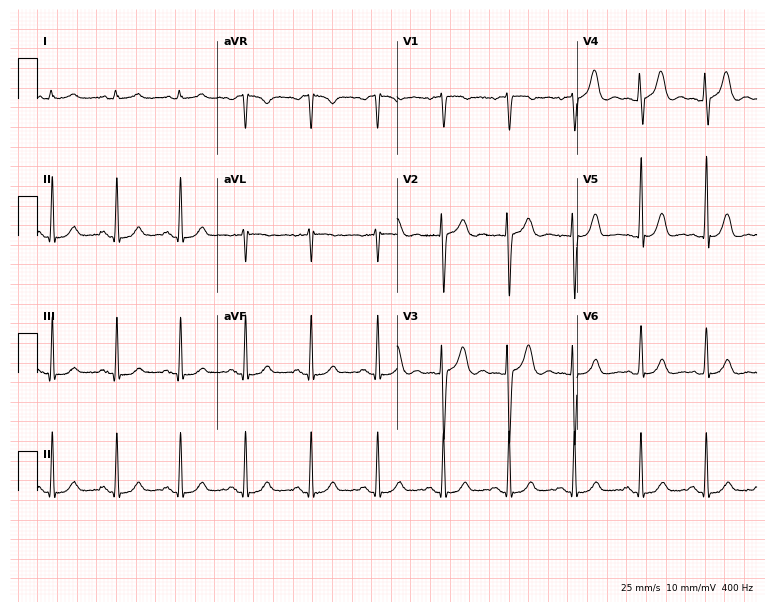
Standard 12-lead ECG recorded from a 43-year-old woman. Read as a normal ECG.